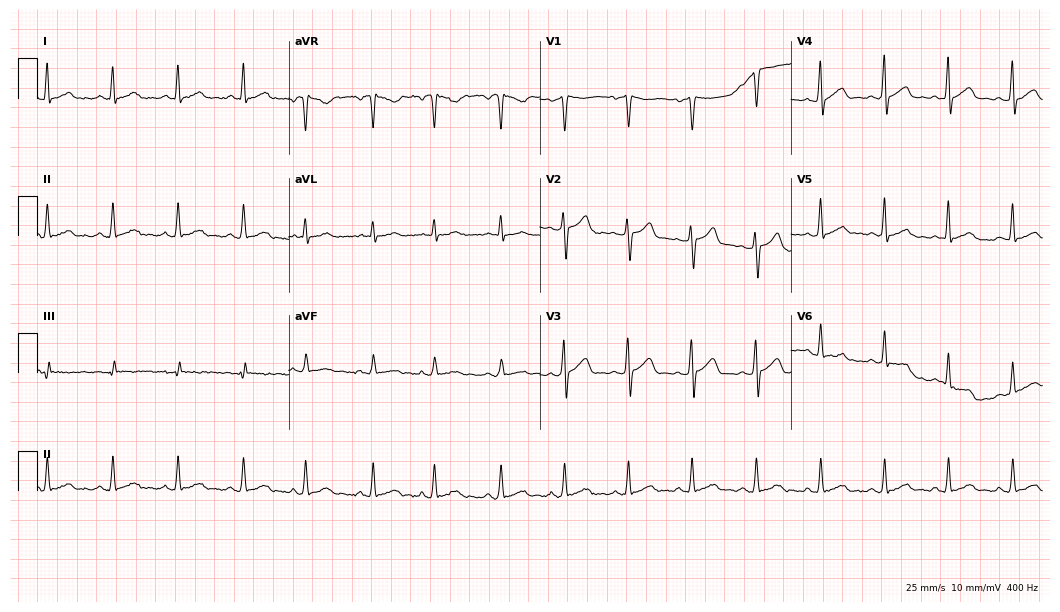
Standard 12-lead ECG recorded from a man, 38 years old (10.2-second recording at 400 Hz). Read as a normal ECG.